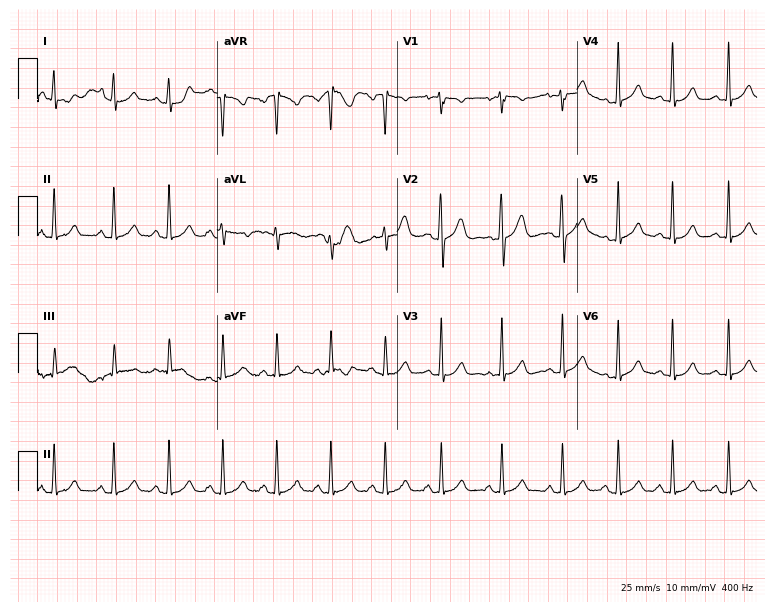
Resting 12-lead electrocardiogram (7.3-second recording at 400 Hz). Patient: a 19-year-old woman. The tracing shows sinus tachycardia (a sinus rate of 100 beats per minute or more).